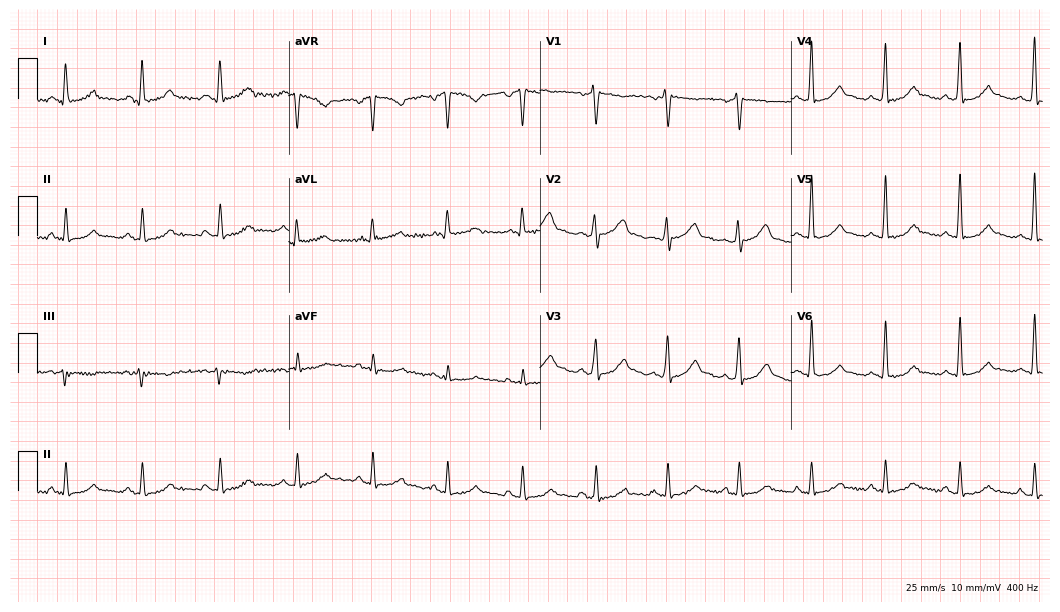
12-lead ECG from a woman, 37 years old. Recorded interpretation: within normal limits.